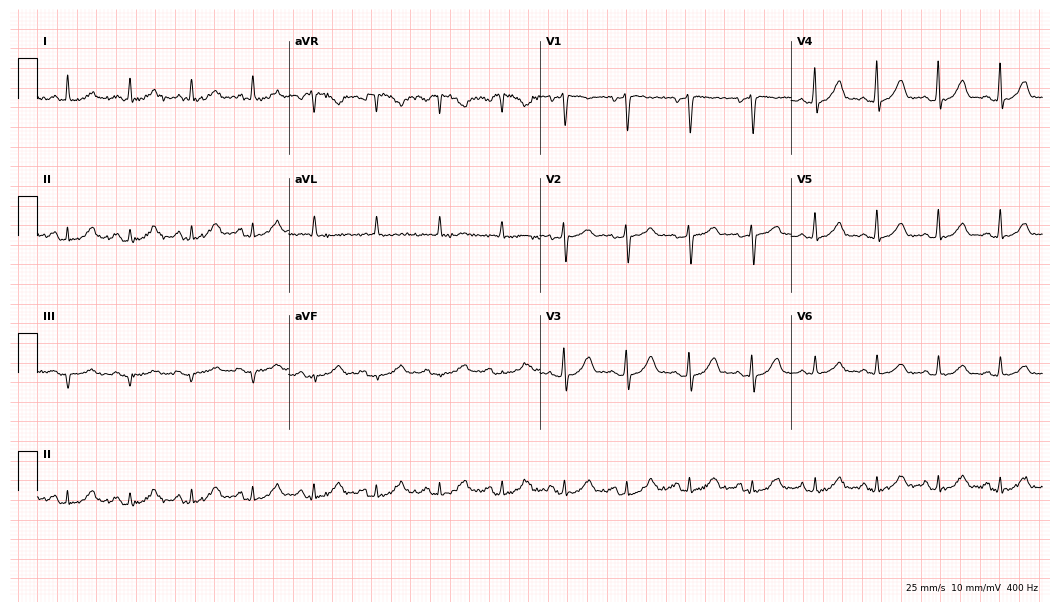
Standard 12-lead ECG recorded from a woman, 43 years old. Read as a normal ECG.